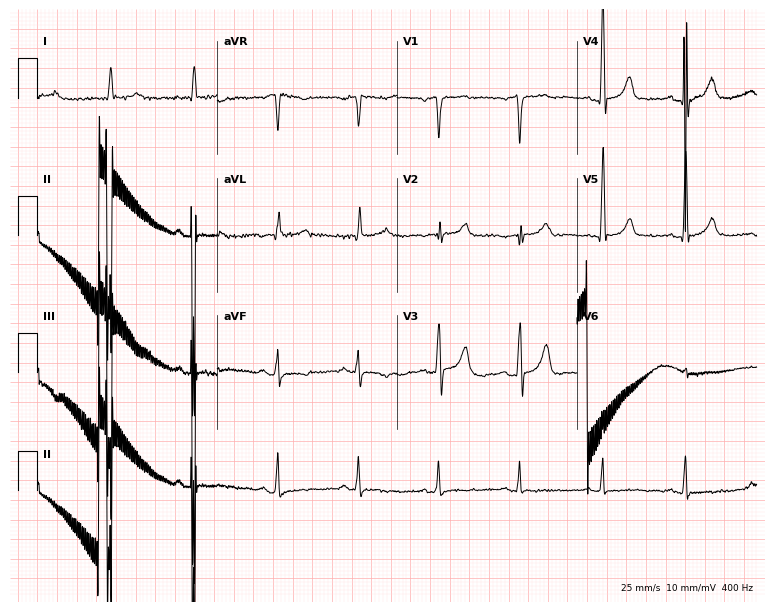
12-lead ECG from a man, 80 years old (7.3-second recording at 400 Hz). No first-degree AV block, right bundle branch block (RBBB), left bundle branch block (LBBB), sinus bradycardia, atrial fibrillation (AF) or sinus tachycardia recorded for this tracing. Only these six findings were labelled.